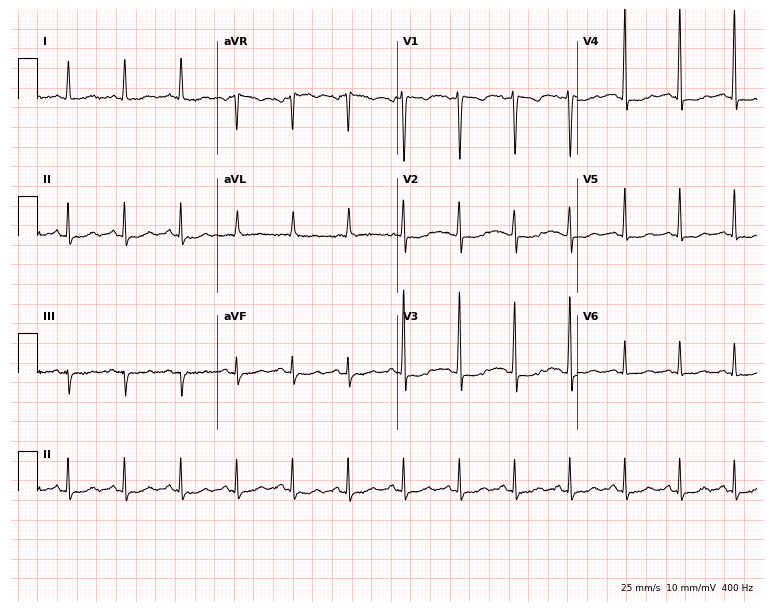
Electrocardiogram (7.3-second recording at 400 Hz), a 52-year-old female. Interpretation includes sinus tachycardia (a sinus rate of 100 beats per minute or more).